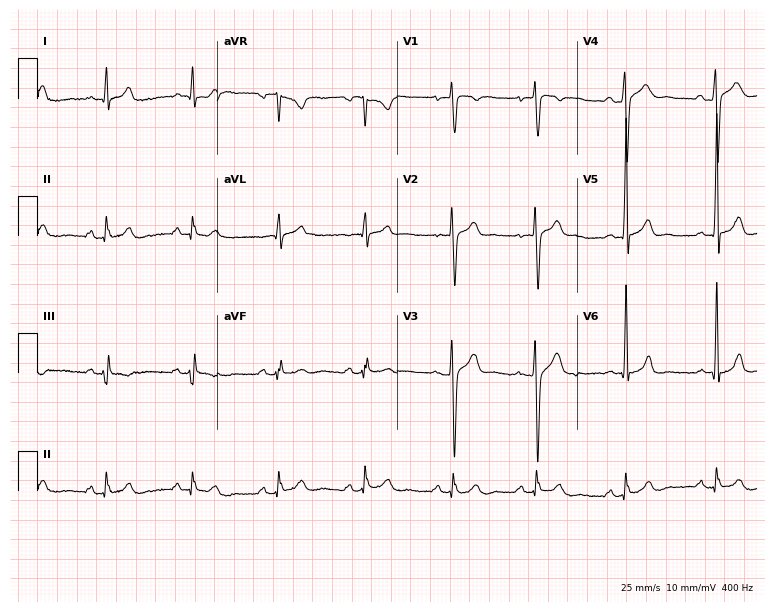
Resting 12-lead electrocardiogram (7.3-second recording at 400 Hz). Patient: a male, 27 years old. Read as a normal ECG.